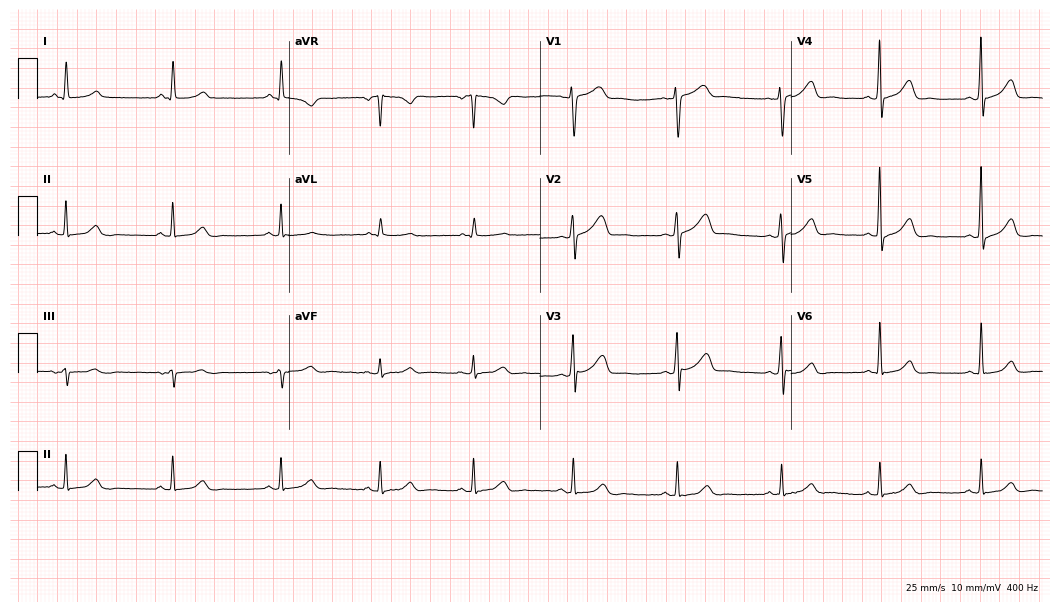
12-lead ECG from a female patient, 59 years old (10.2-second recording at 400 Hz). Recorded interpretation: within normal limits.